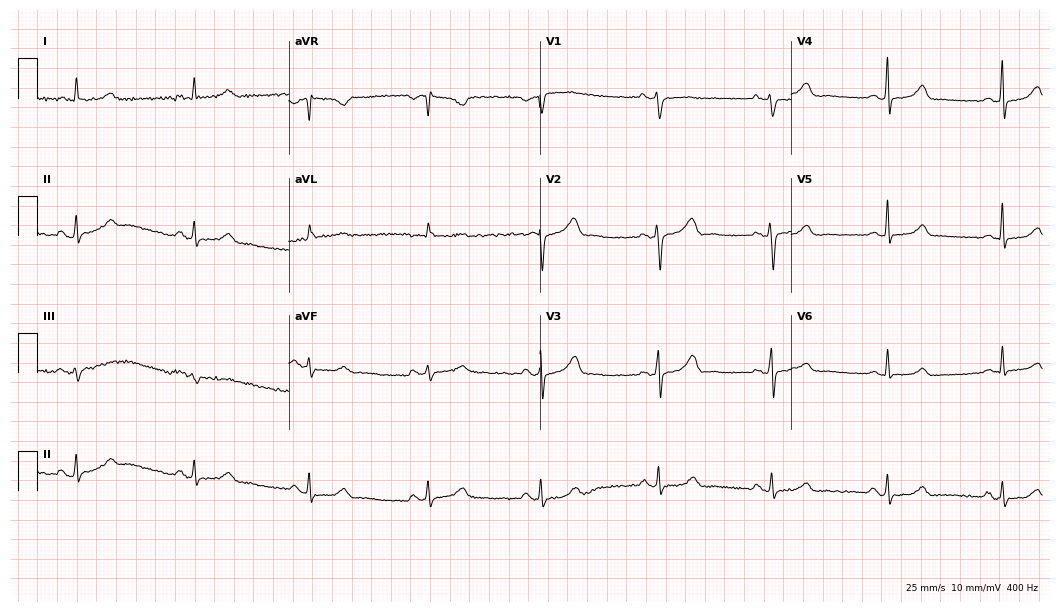
12-lead ECG from a woman, 59 years old. Labelled as a normal ECG.